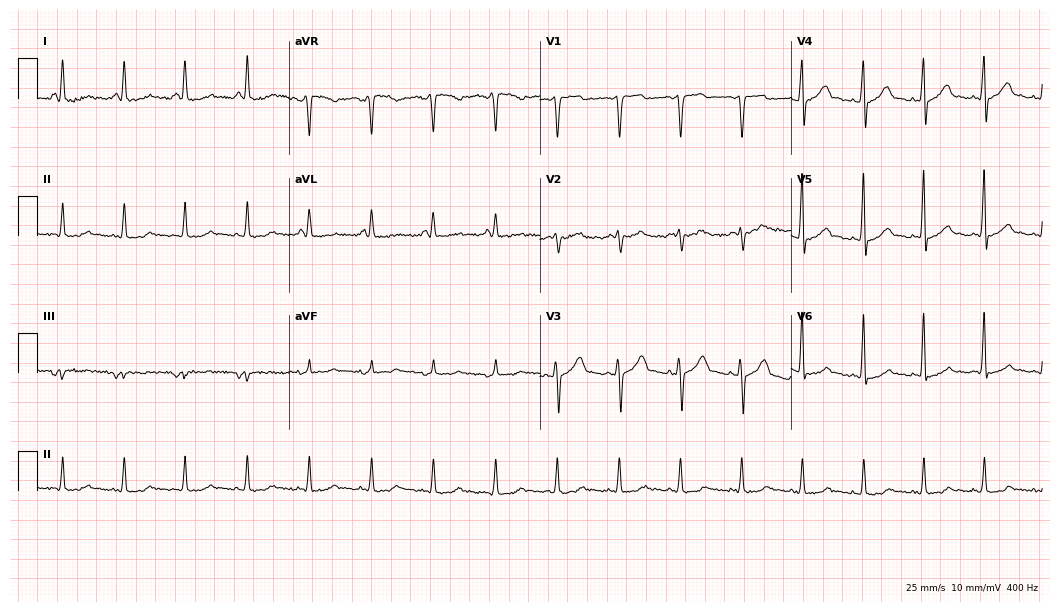
12-lead ECG (10.2-second recording at 400 Hz) from a male, 64 years old. Screened for six findings — first-degree AV block, right bundle branch block (RBBB), left bundle branch block (LBBB), sinus bradycardia, atrial fibrillation (AF), sinus tachycardia — none is recorded.